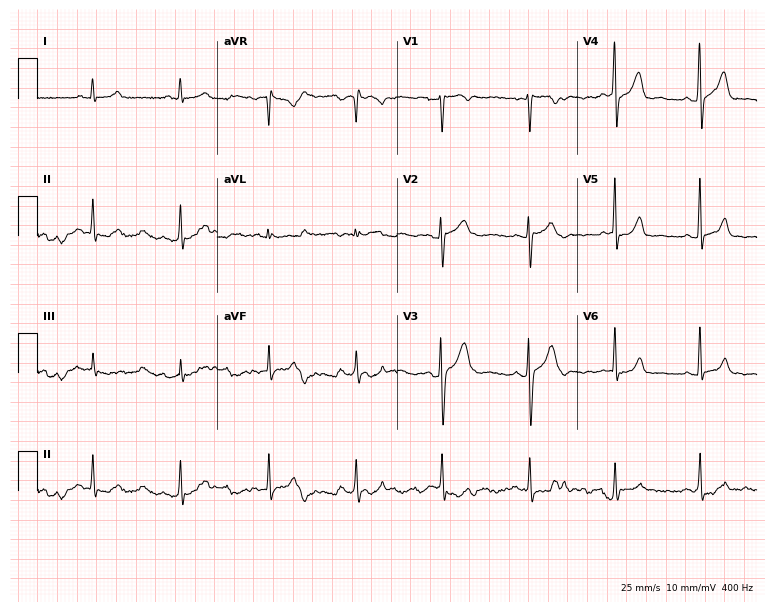
12-lead ECG (7.3-second recording at 400 Hz) from a female, 33 years old. Labelled as a normal ECG.